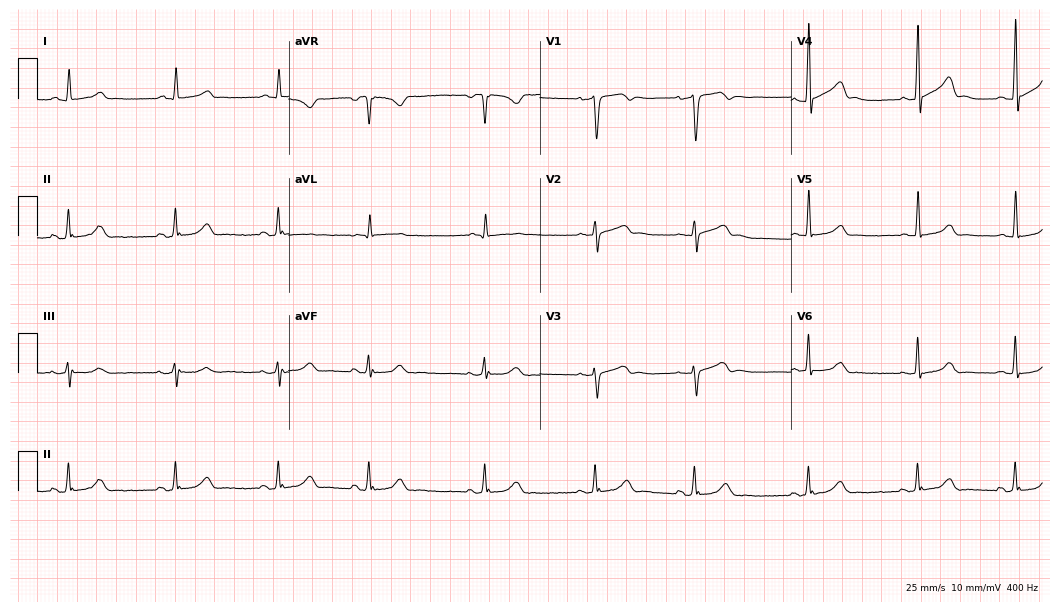
12-lead ECG from a 66-year-old man (10.2-second recording at 400 Hz). No first-degree AV block, right bundle branch block, left bundle branch block, sinus bradycardia, atrial fibrillation or sinus tachycardia recorded for this tracing.